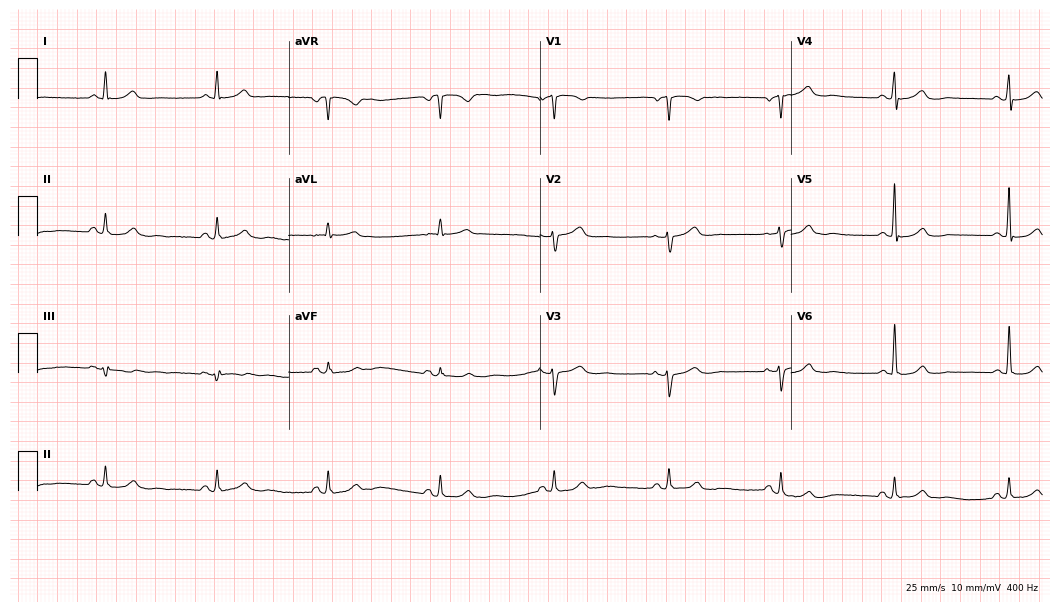
12-lead ECG (10.2-second recording at 400 Hz) from a female, 68 years old. Screened for six findings — first-degree AV block, right bundle branch block, left bundle branch block, sinus bradycardia, atrial fibrillation, sinus tachycardia — none is recorded.